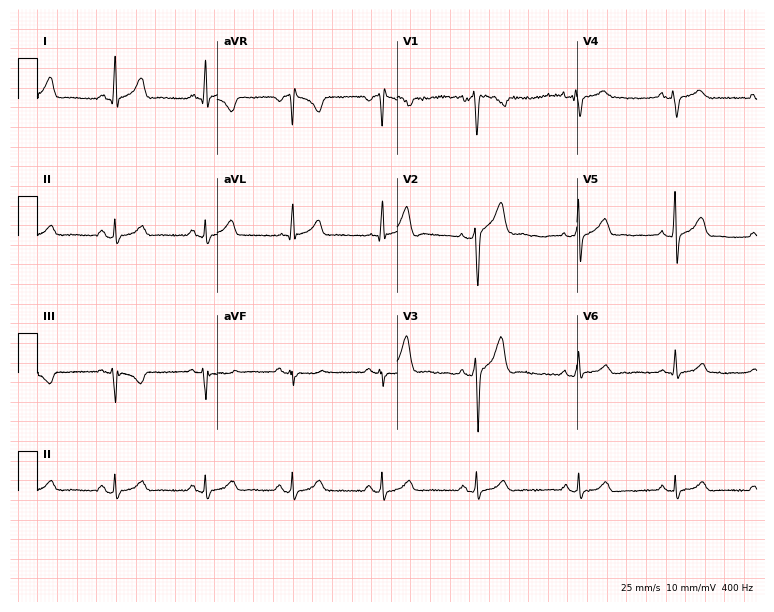
Resting 12-lead electrocardiogram. Patient: a male, 34 years old. Read as a normal ECG.